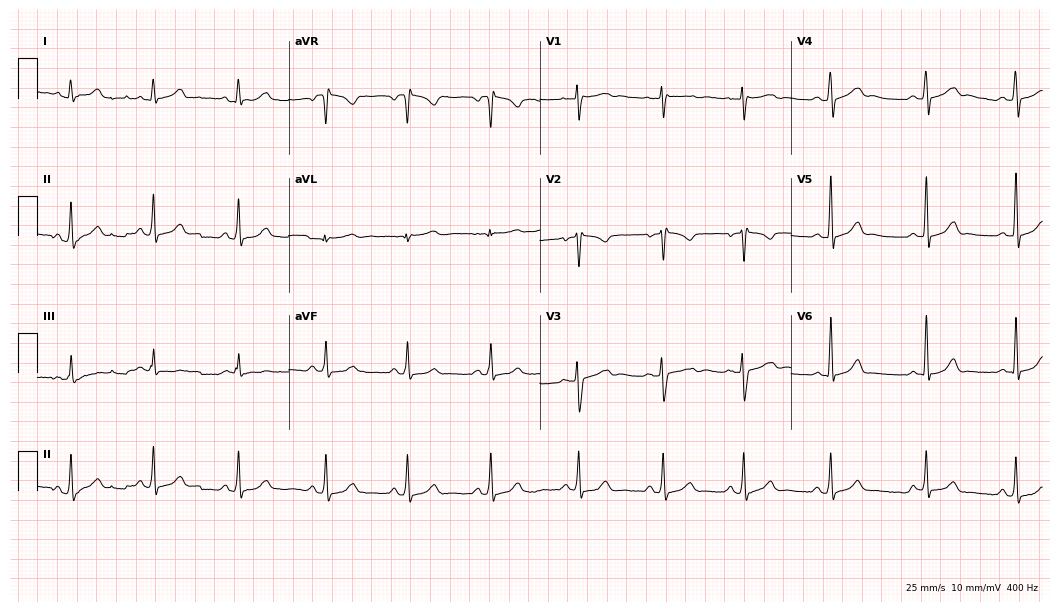
12-lead ECG from a female, 23 years old. Screened for six findings — first-degree AV block, right bundle branch block (RBBB), left bundle branch block (LBBB), sinus bradycardia, atrial fibrillation (AF), sinus tachycardia — none is recorded. Only these six findings were labelled.